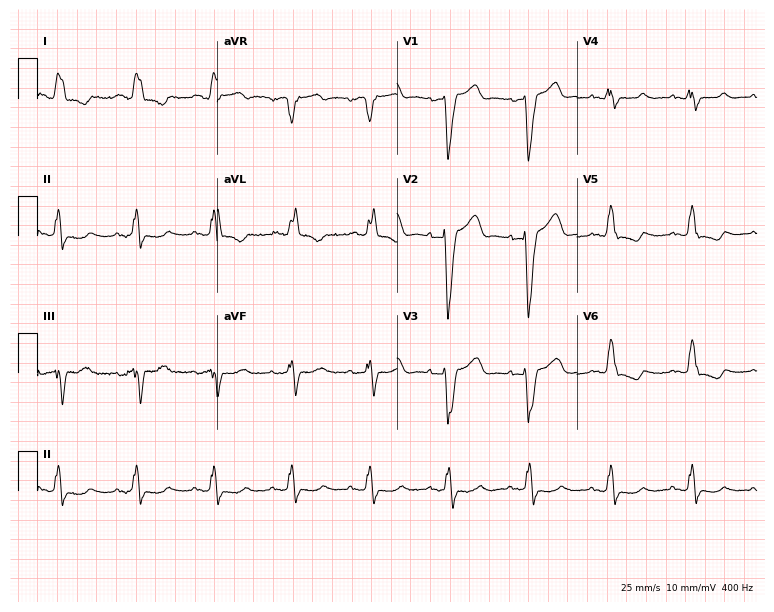
12-lead ECG from a female patient, 83 years old (7.3-second recording at 400 Hz). Shows left bundle branch block (LBBB).